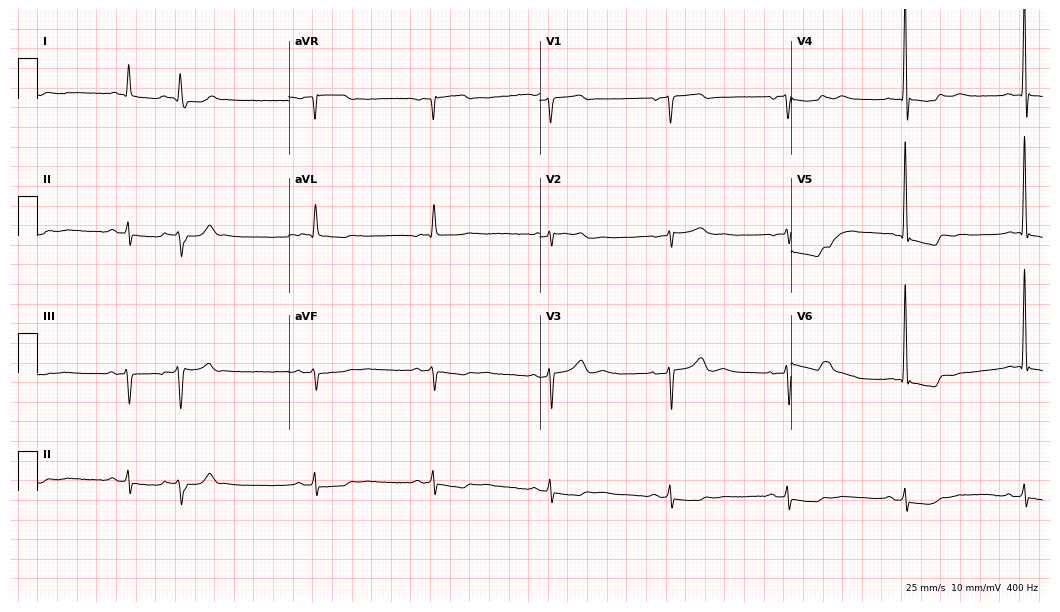
Resting 12-lead electrocardiogram. Patient: a man, 82 years old. None of these six findings is recorded: first-degree AV block, right bundle branch block, left bundle branch block, sinus bradycardia, atrial fibrillation, sinus tachycardia. Only these six findings were labelled.